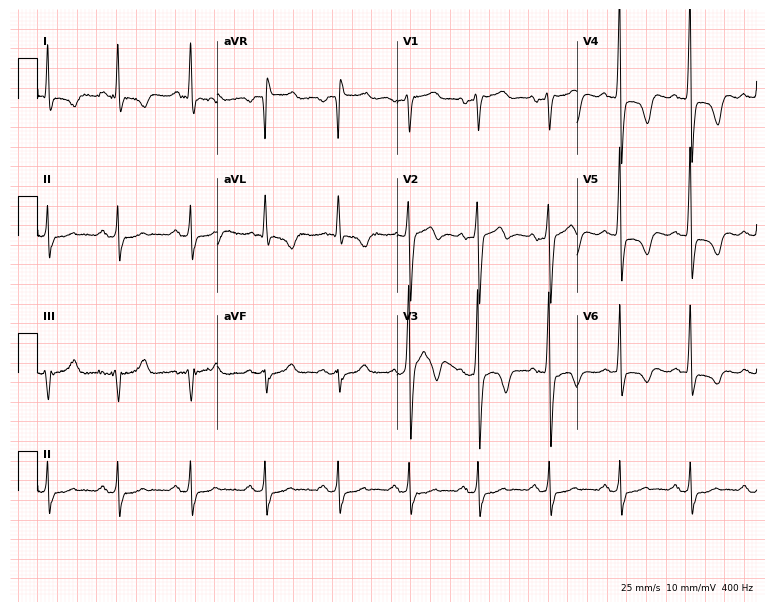
Standard 12-lead ECG recorded from a man, 53 years old. None of these six findings is recorded: first-degree AV block, right bundle branch block, left bundle branch block, sinus bradycardia, atrial fibrillation, sinus tachycardia. Findings outside these six are not listed.